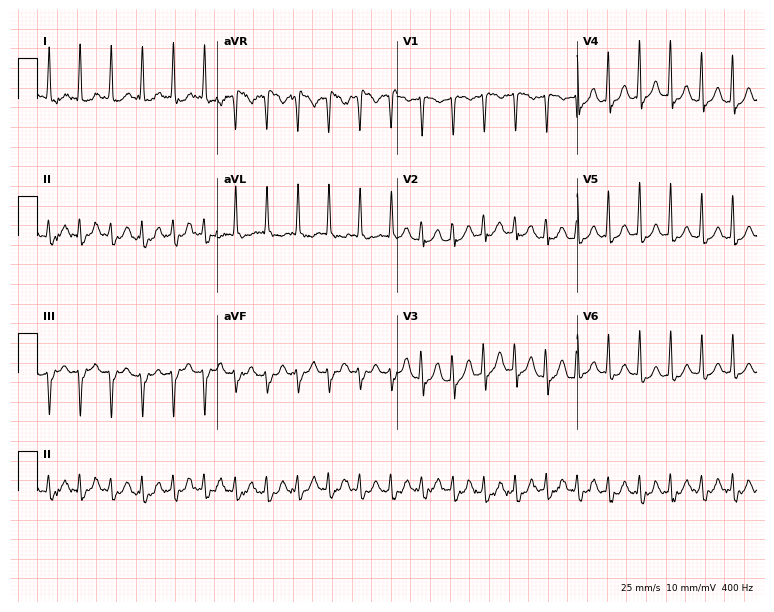
Standard 12-lead ECG recorded from a 77-year-old woman (7.3-second recording at 400 Hz). The tracing shows sinus tachycardia (a sinus rate of 100 beats per minute or more).